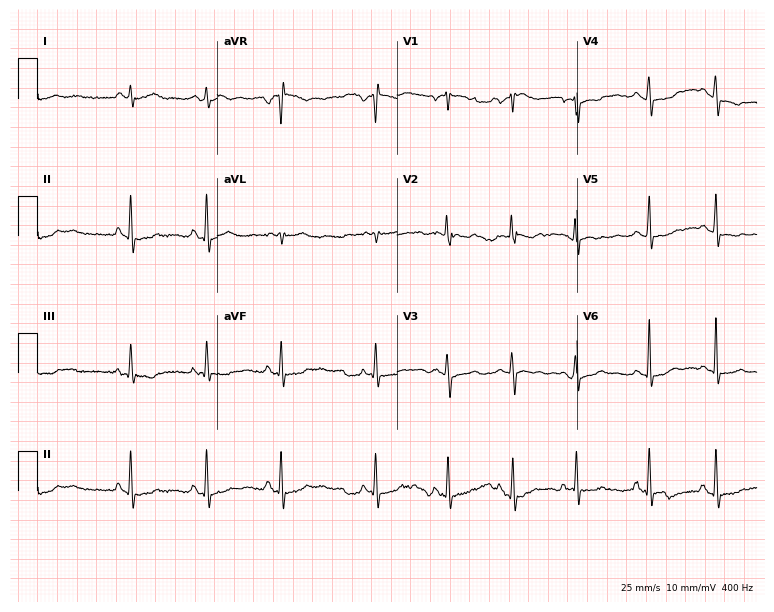
ECG — a 24-year-old woman. Screened for six findings — first-degree AV block, right bundle branch block (RBBB), left bundle branch block (LBBB), sinus bradycardia, atrial fibrillation (AF), sinus tachycardia — none is recorded.